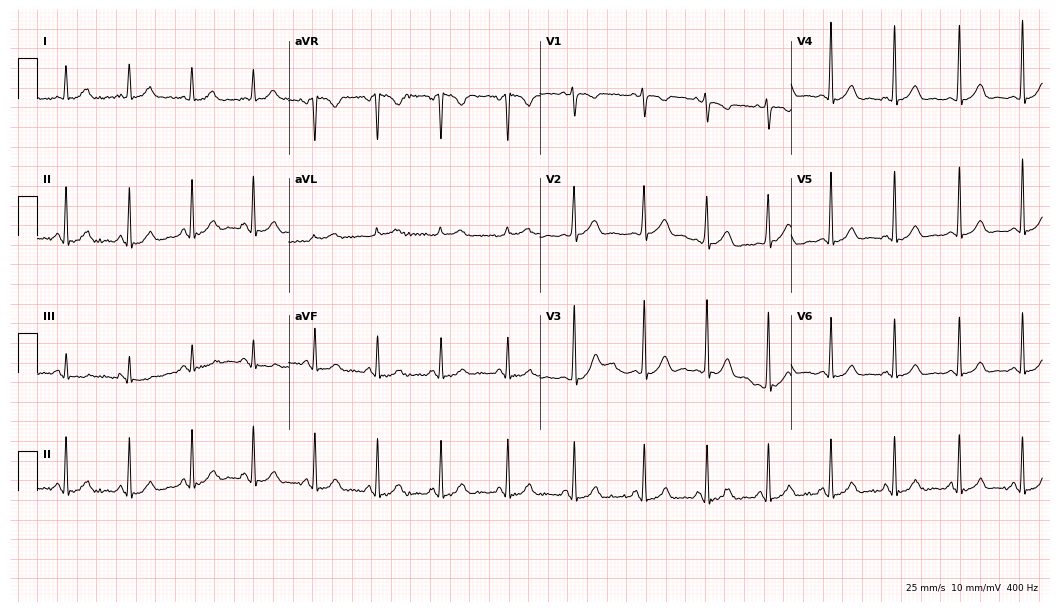
ECG — a 26-year-old woman. Screened for six findings — first-degree AV block, right bundle branch block (RBBB), left bundle branch block (LBBB), sinus bradycardia, atrial fibrillation (AF), sinus tachycardia — none is recorded. Other findings, if any, are not listed.